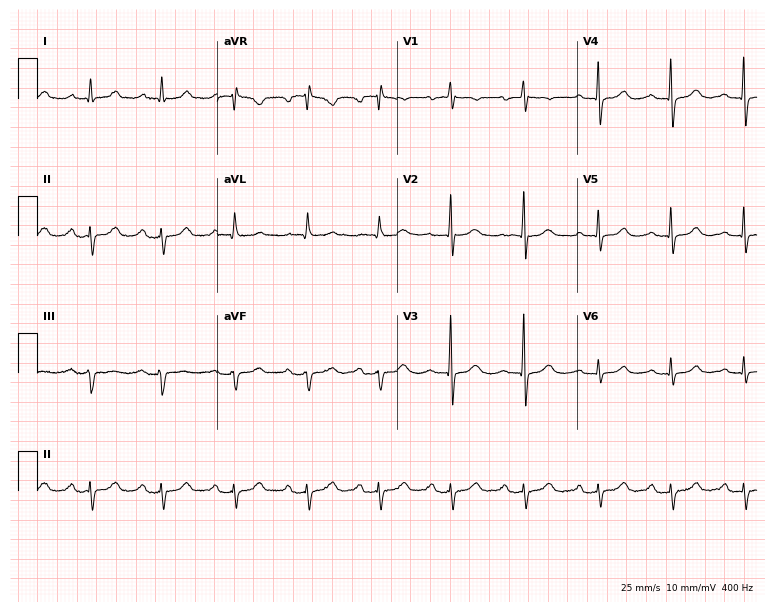
Resting 12-lead electrocardiogram. Patient: a 64-year-old woman. The tracing shows first-degree AV block.